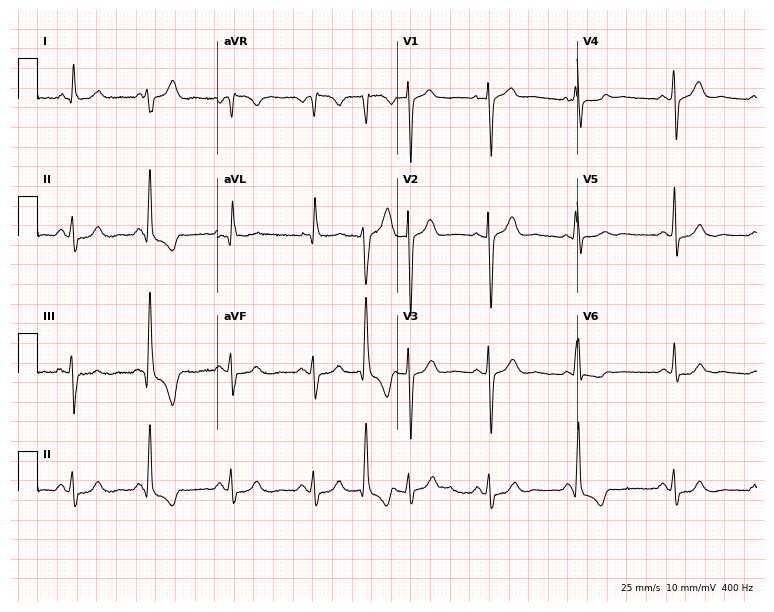
12-lead ECG (7.3-second recording at 400 Hz) from a male, 59 years old. Screened for six findings — first-degree AV block, right bundle branch block (RBBB), left bundle branch block (LBBB), sinus bradycardia, atrial fibrillation (AF), sinus tachycardia — none is recorded.